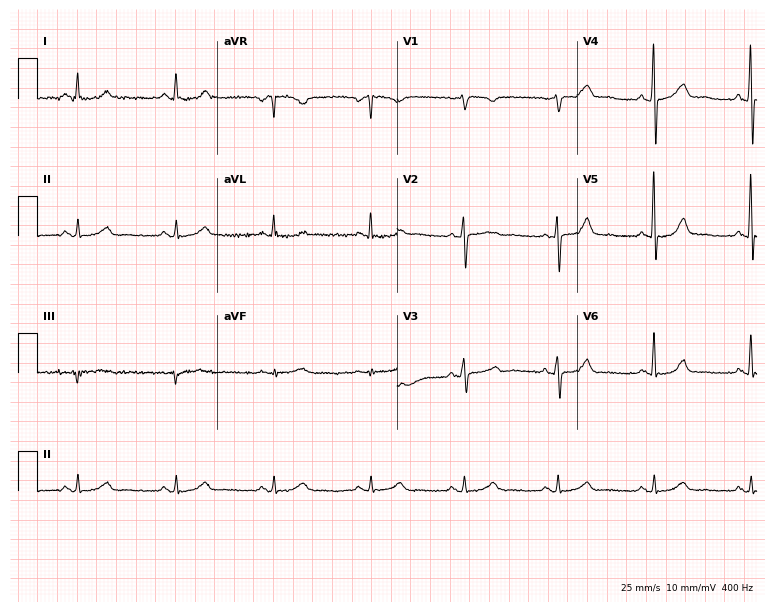
ECG (7.3-second recording at 400 Hz) — a man, 55 years old. Labelled as a normal ECG.